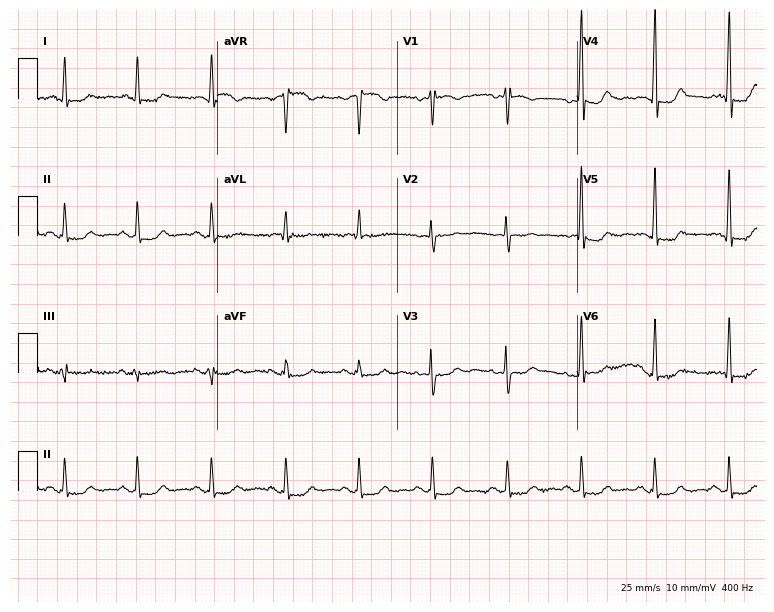
Resting 12-lead electrocardiogram (7.3-second recording at 400 Hz). Patient: a woman, 70 years old. None of these six findings is recorded: first-degree AV block, right bundle branch block, left bundle branch block, sinus bradycardia, atrial fibrillation, sinus tachycardia.